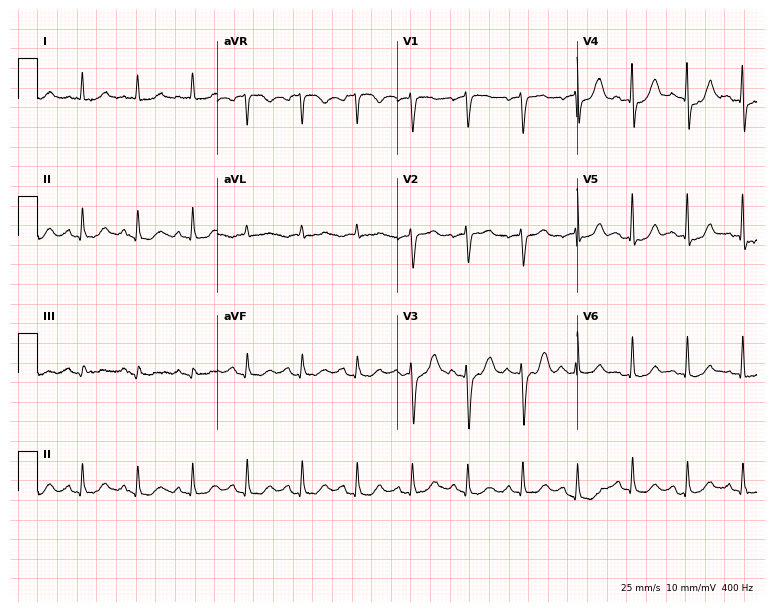
Resting 12-lead electrocardiogram (7.3-second recording at 400 Hz). Patient: a 76-year-old male. None of these six findings is recorded: first-degree AV block, right bundle branch block (RBBB), left bundle branch block (LBBB), sinus bradycardia, atrial fibrillation (AF), sinus tachycardia. Other findings, if any, are not listed.